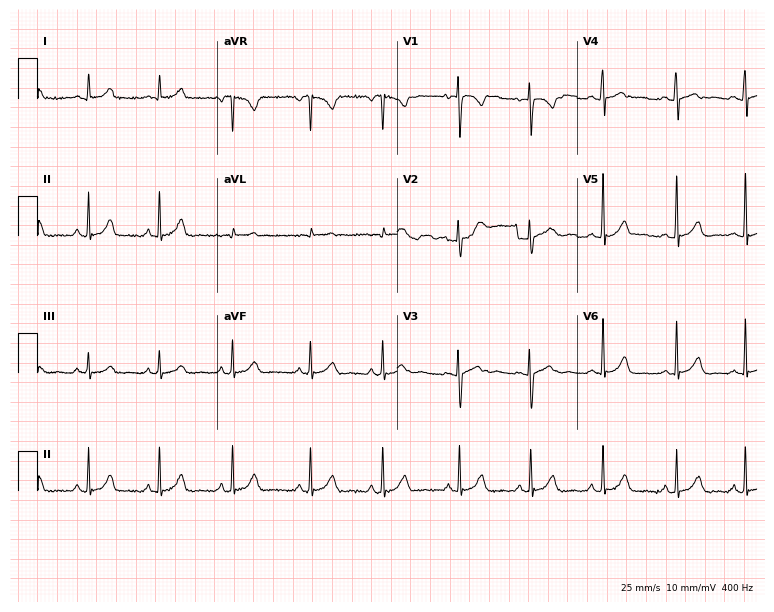
Standard 12-lead ECG recorded from a 20-year-old woman (7.3-second recording at 400 Hz). Read as a normal ECG.